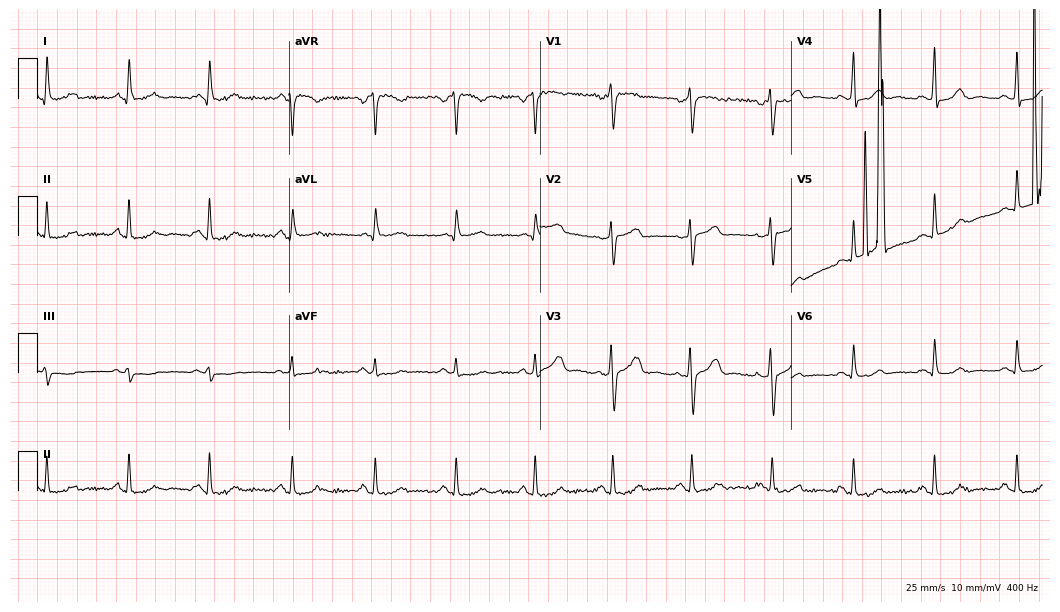
ECG — a female patient, 52 years old. Screened for six findings — first-degree AV block, right bundle branch block, left bundle branch block, sinus bradycardia, atrial fibrillation, sinus tachycardia — none is recorded.